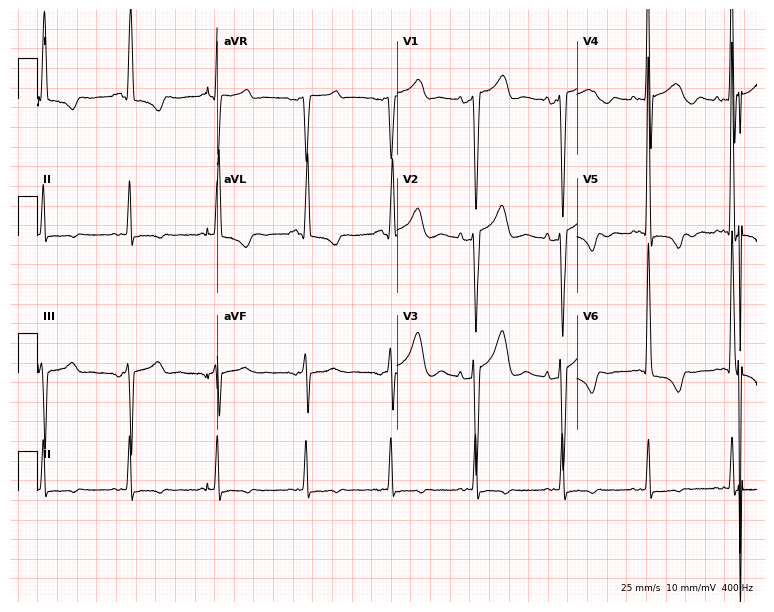
12-lead ECG (7.3-second recording at 400 Hz) from a 56-year-old female patient. Screened for six findings — first-degree AV block, right bundle branch block, left bundle branch block, sinus bradycardia, atrial fibrillation, sinus tachycardia — none is recorded. Other findings, if any, are not listed.